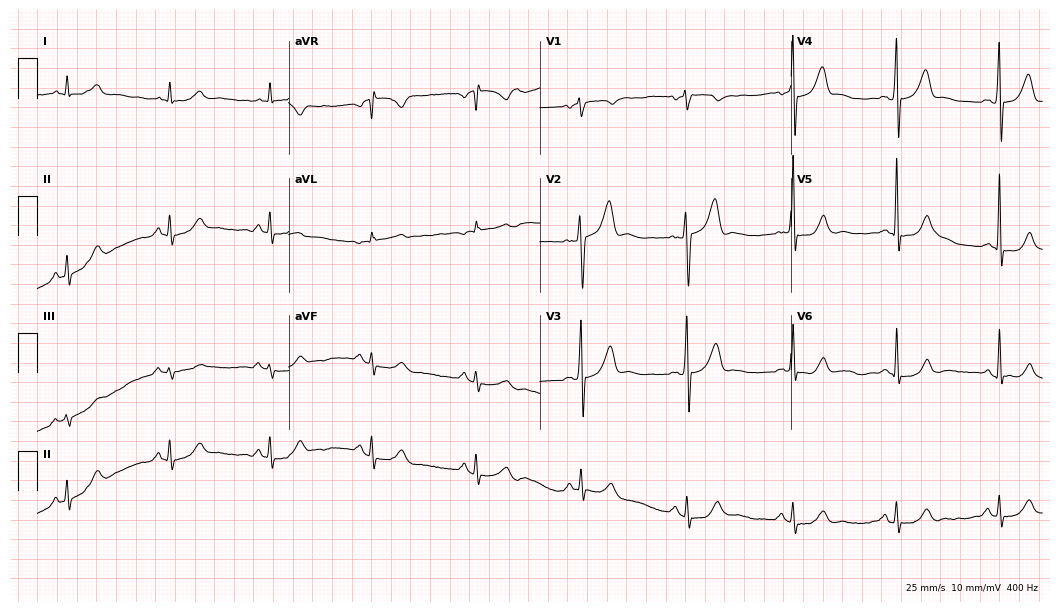
Electrocardiogram, a man, 44 years old. Overall reading on record: normal ECG.